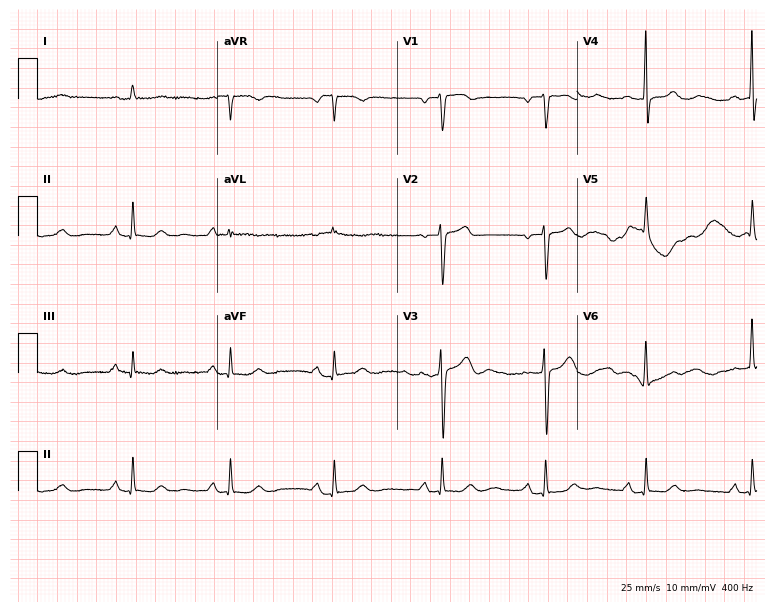
Electrocardiogram, a 50-year-old man. Overall reading on record: normal ECG.